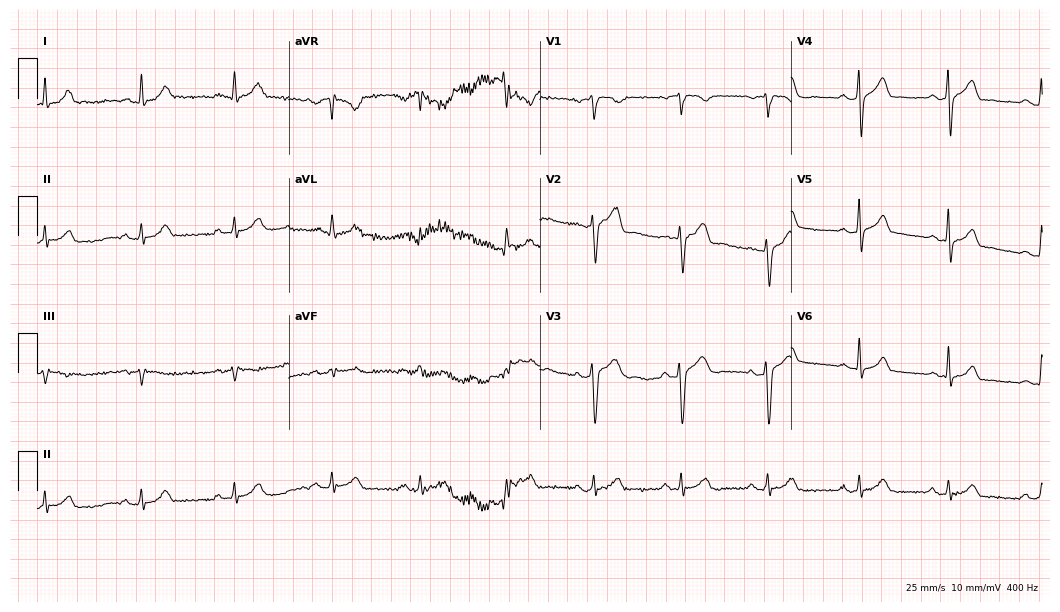
12-lead ECG from a 33-year-old man (10.2-second recording at 400 Hz). No first-degree AV block, right bundle branch block, left bundle branch block, sinus bradycardia, atrial fibrillation or sinus tachycardia recorded for this tracing. Findings outside these six are not listed.